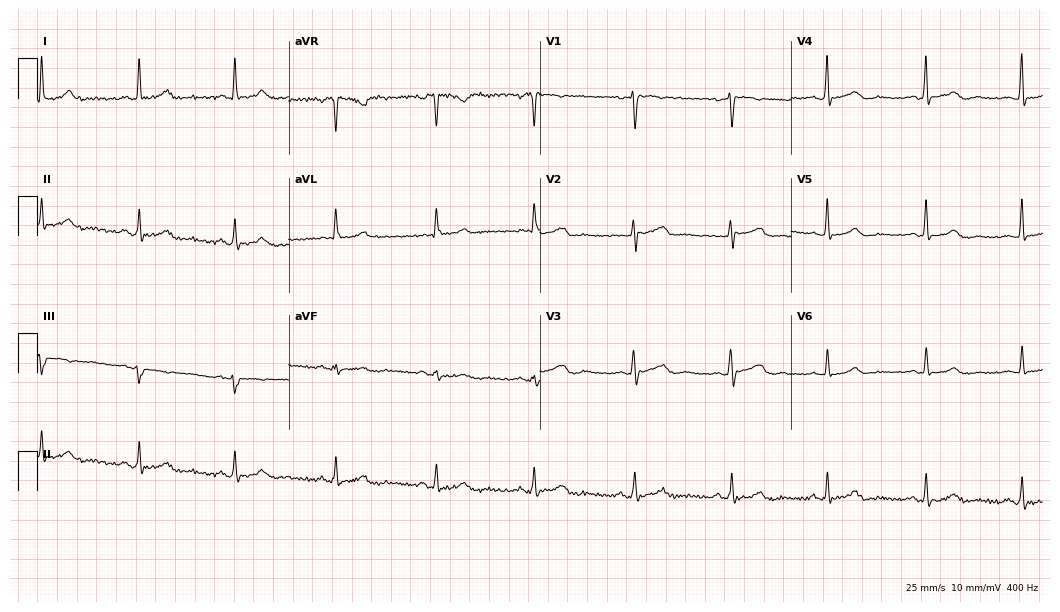
12-lead ECG from a 41-year-old woman. Recorded interpretation: within normal limits.